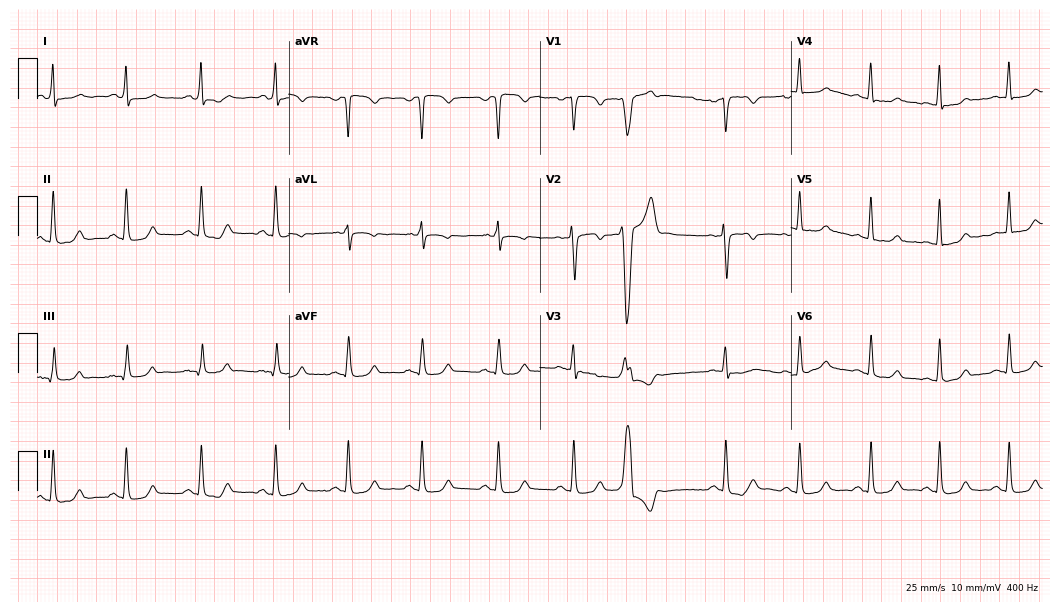
12-lead ECG from a female, 42 years old (10.2-second recording at 400 Hz). No first-degree AV block, right bundle branch block, left bundle branch block, sinus bradycardia, atrial fibrillation or sinus tachycardia recorded for this tracing. Only these six findings were labelled.